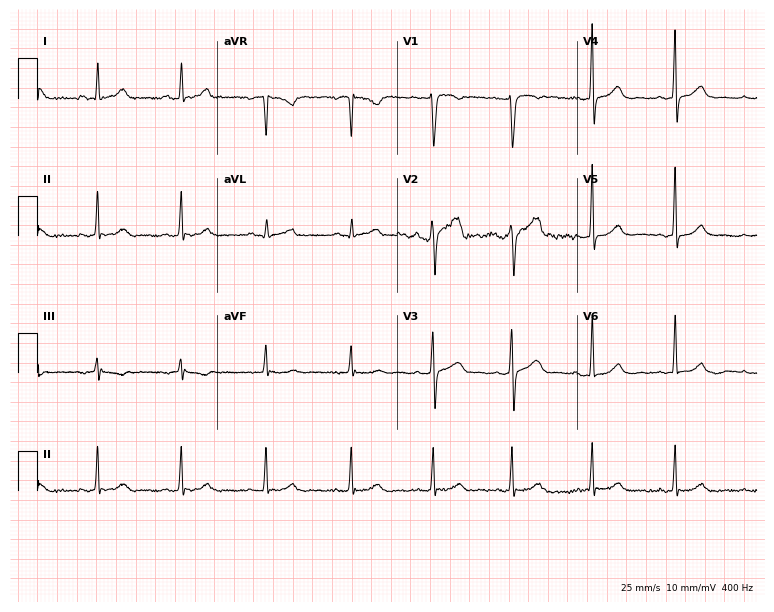
Resting 12-lead electrocardiogram (7.3-second recording at 400 Hz). Patient: a 43-year-old female. Read as a normal ECG.